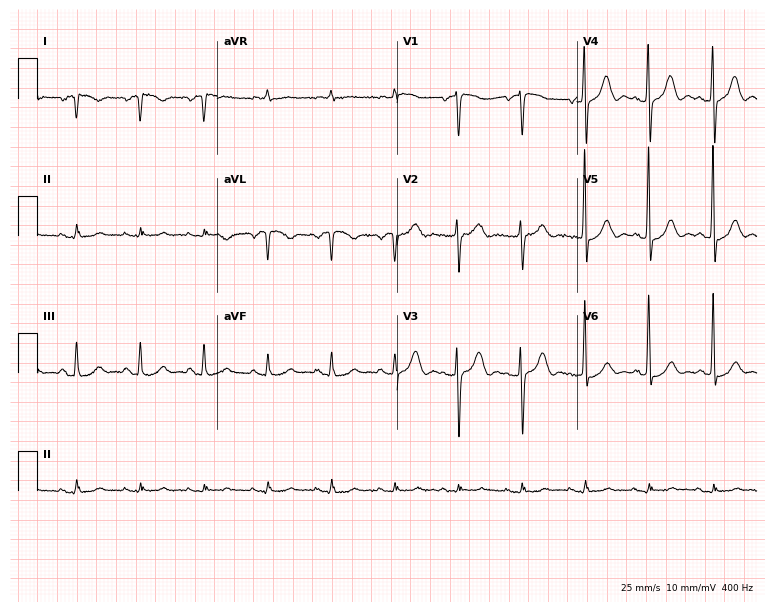
Standard 12-lead ECG recorded from an 86-year-old female patient (7.3-second recording at 400 Hz). None of these six findings is recorded: first-degree AV block, right bundle branch block (RBBB), left bundle branch block (LBBB), sinus bradycardia, atrial fibrillation (AF), sinus tachycardia.